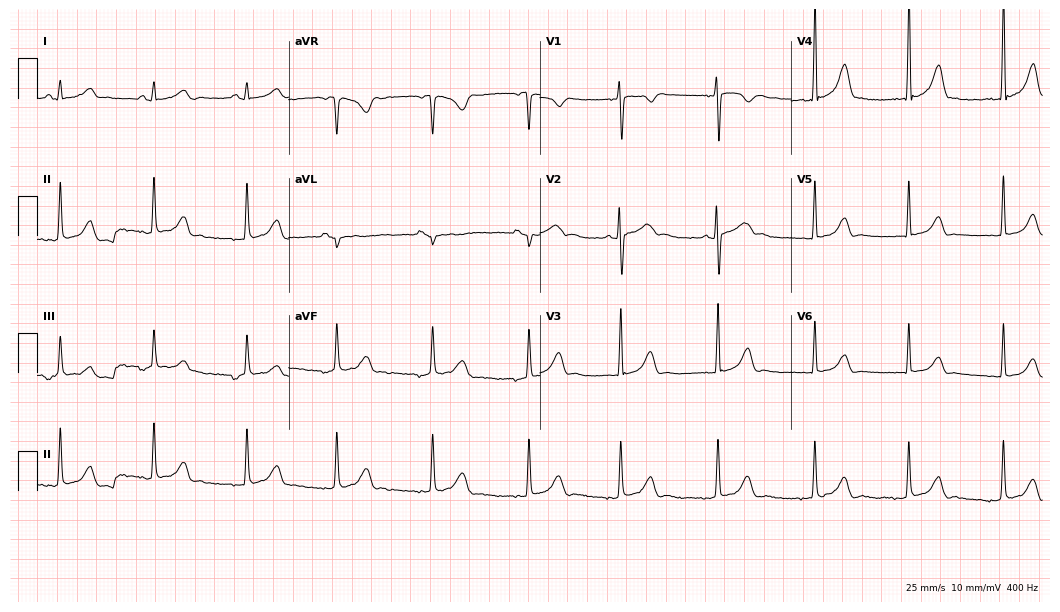
12-lead ECG (10.2-second recording at 400 Hz) from a female patient, 19 years old. Labelled as a normal ECG.